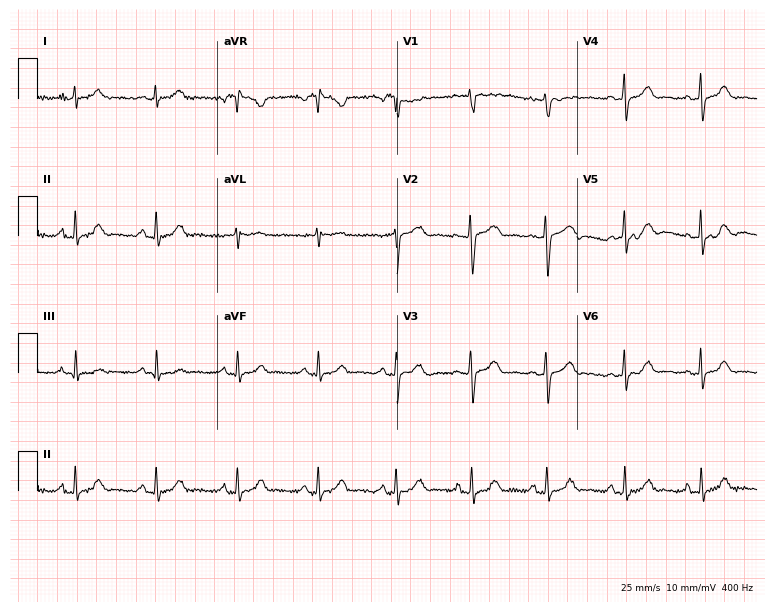
ECG (7.3-second recording at 400 Hz) — a female patient, 32 years old. Screened for six findings — first-degree AV block, right bundle branch block, left bundle branch block, sinus bradycardia, atrial fibrillation, sinus tachycardia — none is recorded. Only these six findings were labelled.